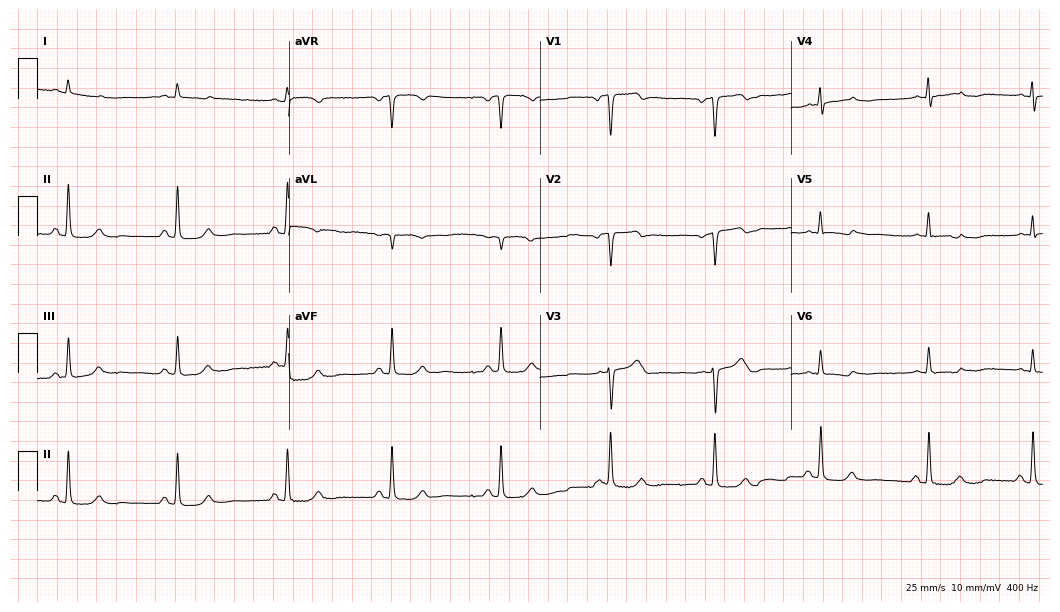
12-lead ECG from a man, 65 years old. Screened for six findings — first-degree AV block, right bundle branch block (RBBB), left bundle branch block (LBBB), sinus bradycardia, atrial fibrillation (AF), sinus tachycardia — none is recorded. Only these six findings were labelled.